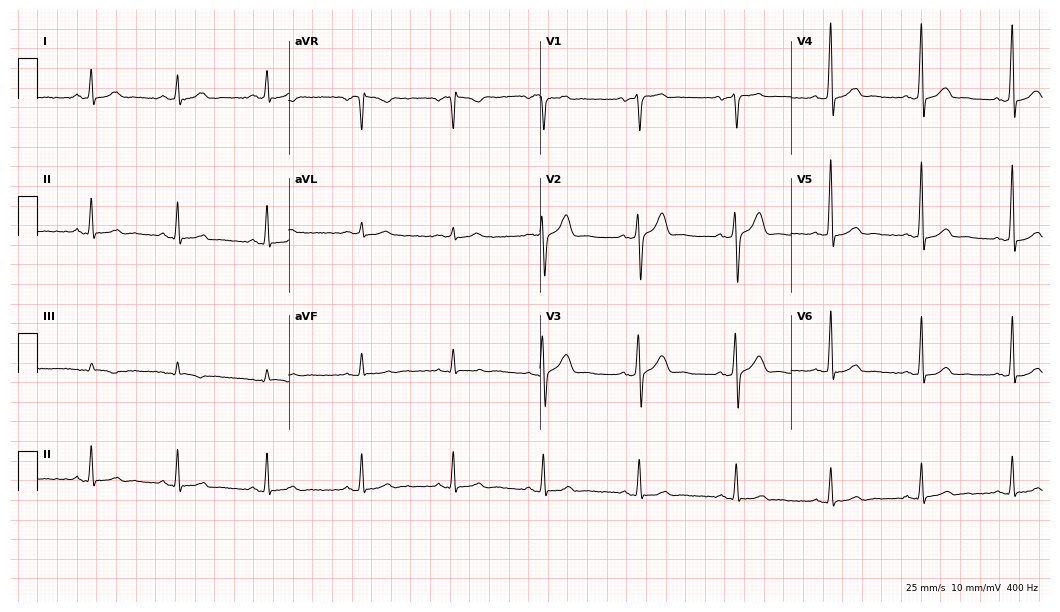
ECG — an 84-year-old female. Labelled as a normal ECG.